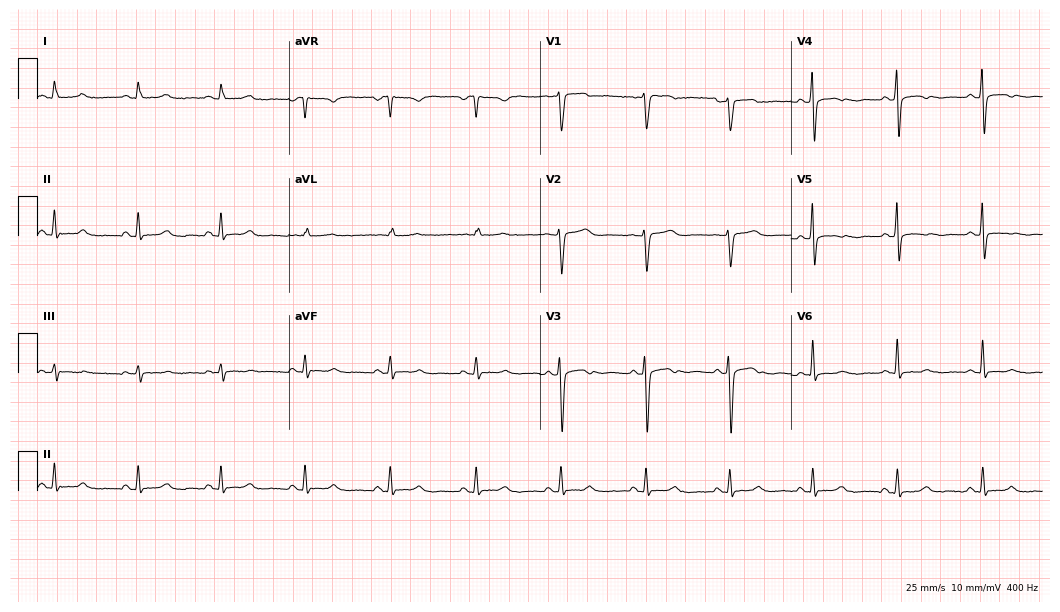
Standard 12-lead ECG recorded from a woman, 56 years old (10.2-second recording at 400 Hz). None of these six findings is recorded: first-degree AV block, right bundle branch block, left bundle branch block, sinus bradycardia, atrial fibrillation, sinus tachycardia. Other findings, if any, are not listed.